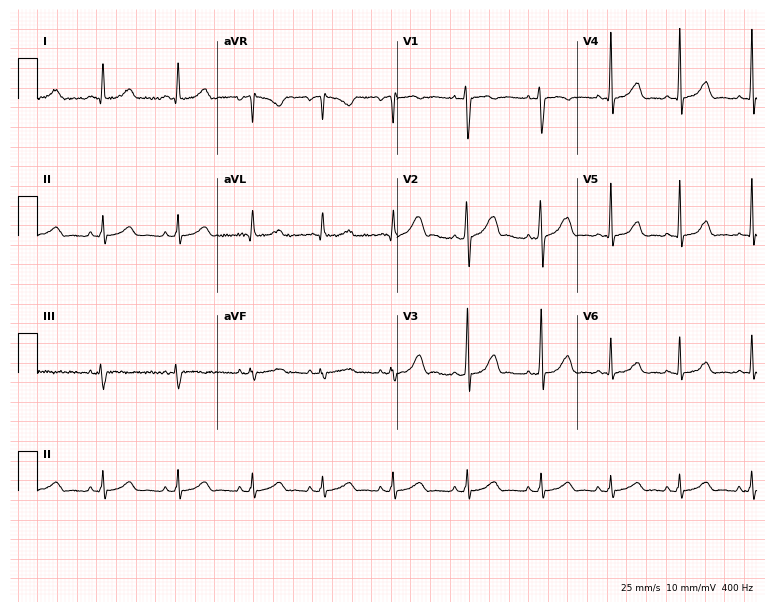
12-lead ECG from a 19-year-old man (7.3-second recording at 400 Hz). Recorded interpretation: within normal limits.